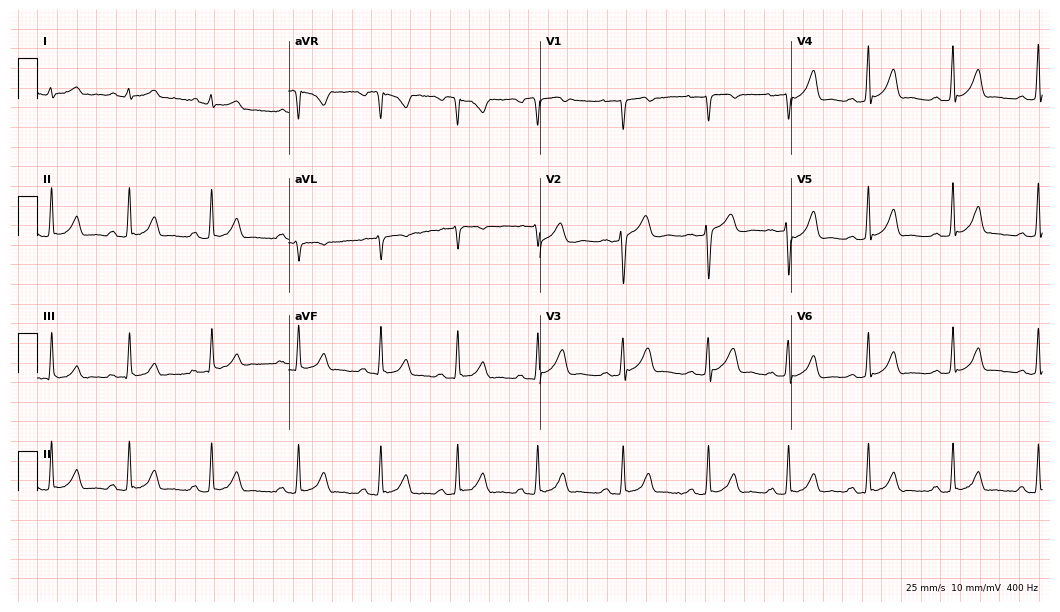
Standard 12-lead ECG recorded from a 26-year-old woman (10.2-second recording at 400 Hz). Read as a normal ECG.